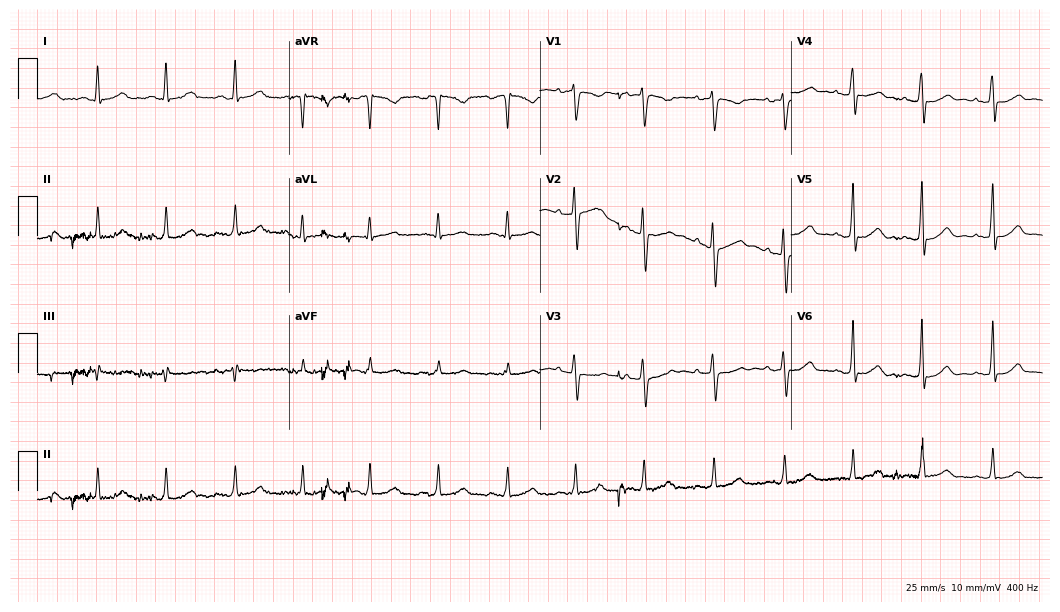
Resting 12-lead electrocardiogram. Patient: a 44-year-old female. Read as a normal ECG.